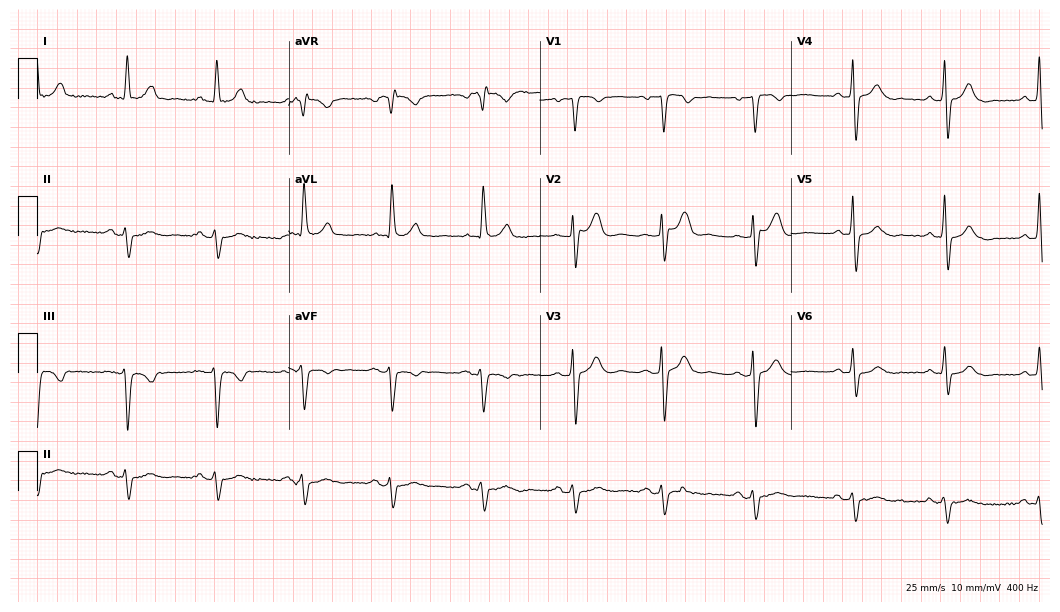
Electrocardiogram, an 85-year-old male. Of the six screened findings (first-degree AV block, right bundle branch block (RBBB), left bundle branch block (LBBB), sinus bradycardia, atrial fibrillation (AF), sinus tachycardia), none is recorded. Findings outside these six are not listed.